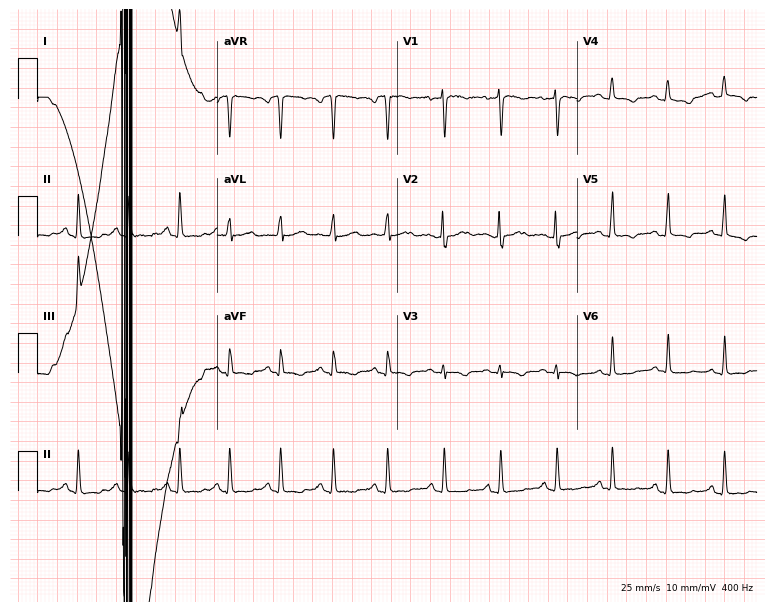
12-lead ECG from a female, 40 years old. Findings include sinus tachycardia (a sinus rate of 100 beats per minute or more).